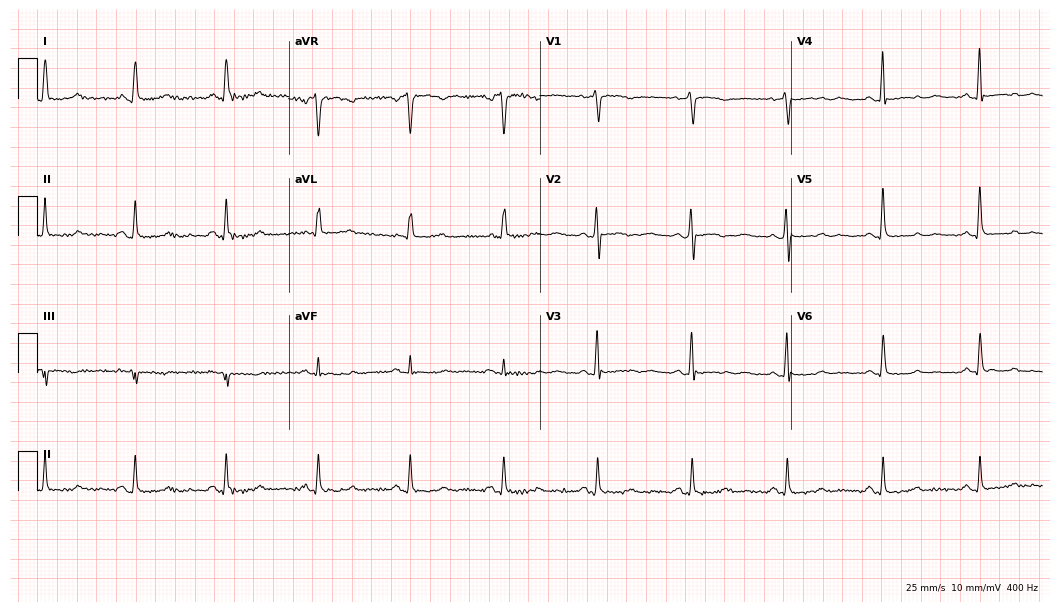
ECG (10.2-second recording at 400 Hz) — a 65-year-old female. Labelled as a normal ECG.